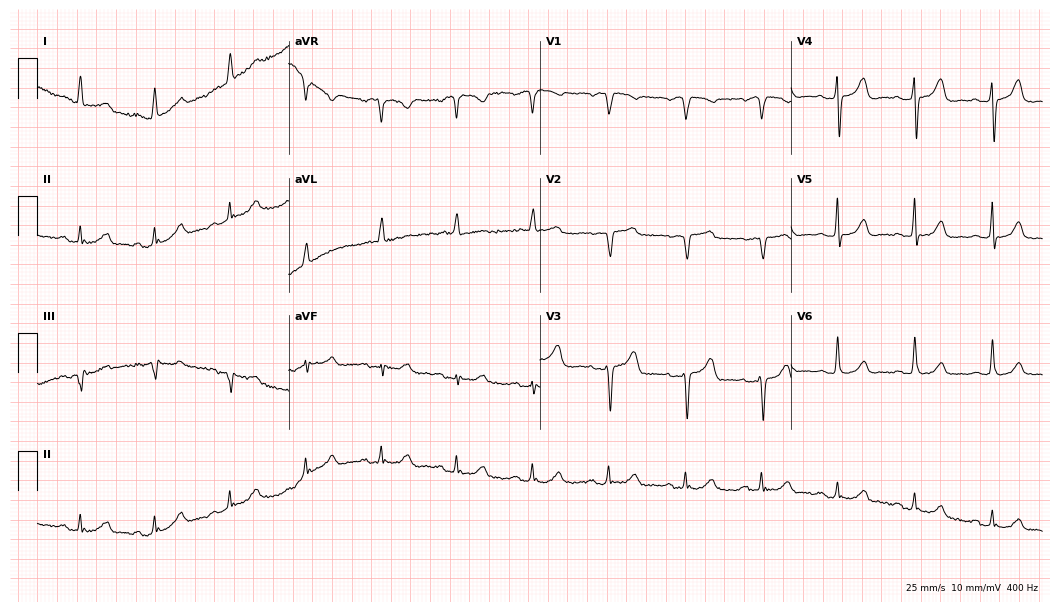
ECG (10.2-second recording at 400 Hz) — a woman, 82 years old. Screened for six findings — first-degree AV block, right bundle branch block, left bundle branch block, sinus bradycardia, atrial fibrillation, sinus tachycardia — none is recorded.